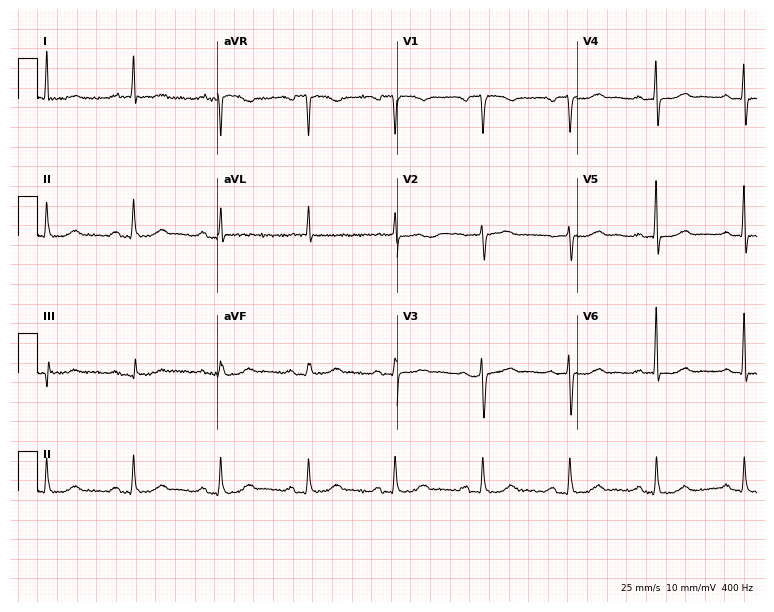
ECG — a man, 77 years old. Screened for six findings — first-degree AV block, right bundle branch block (RBBB), left bundle branch block (LBBB), sinus bradycardia, atrial fibrillation (AF), sinus tachycardia — none is recorded. Findings outside these six are not listed.